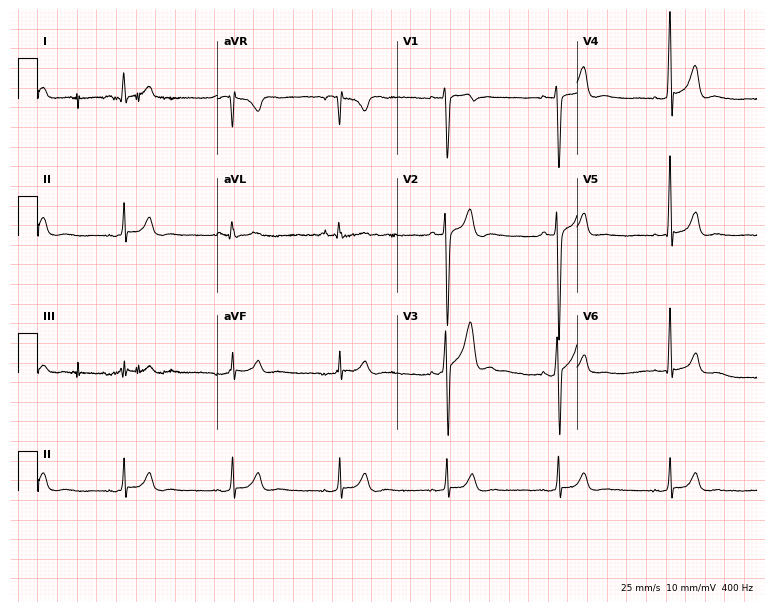
Electrocardiogram, a 23-year-old male. Overall reading on record: normal ECG.